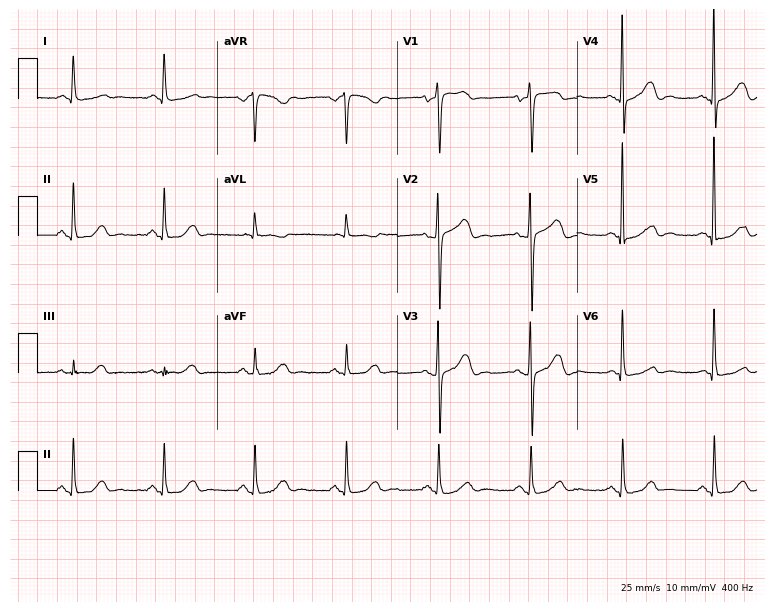
12-lead ECG from a woman, 76 years old. Labelled as a normal ECG.